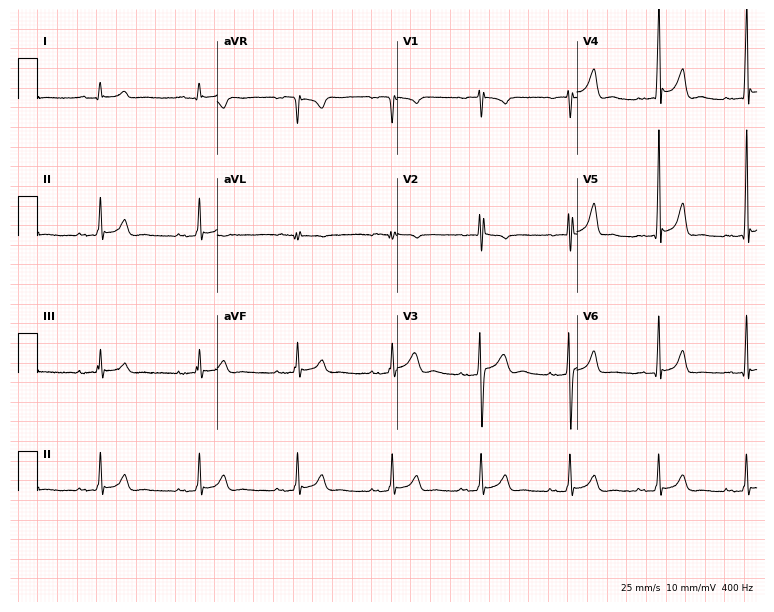
Resting 12-lead electrocardiogram. Patient: a male, 24 years old. Read as a normal ECG.